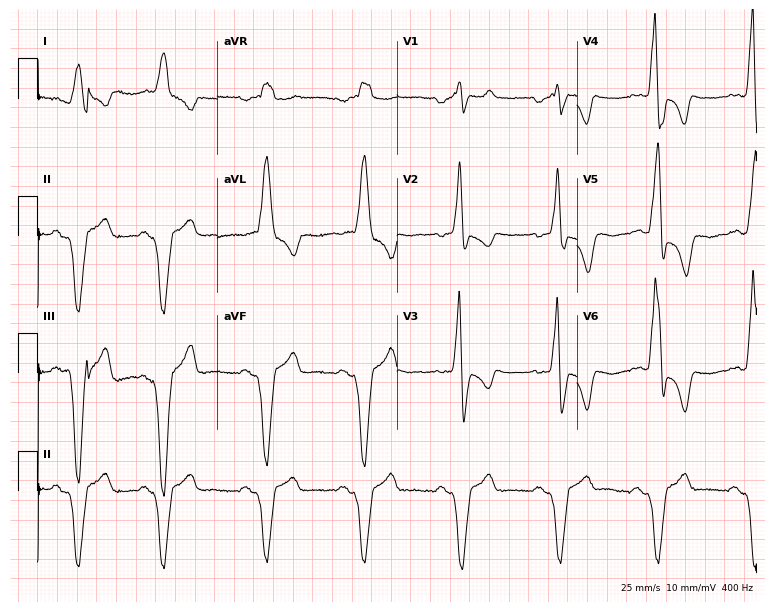
ECG (7.3-second recording at 400 Hz) — an 85-year-old man. Screened for six findings — first-degree AV block, right bundle branch block (RBBB), left bundle branch block (LBBB), sinus bradycardia, atrial fibrillation (AF), sinus tachycardia — none is recorded.